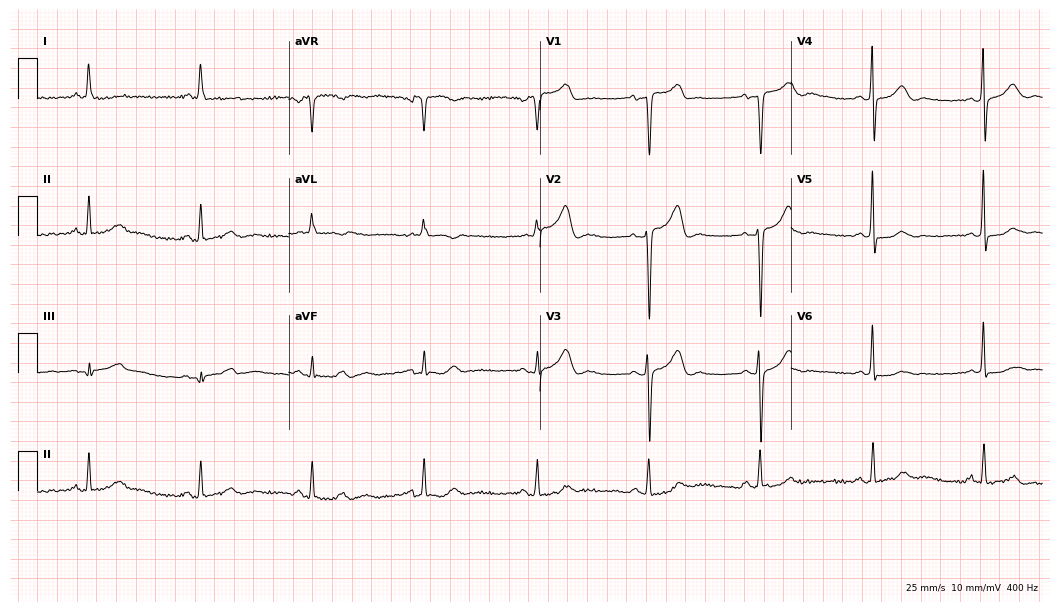
Standard 12-lead ECG recorded from a female patient, 59 years old (10.2-second recording at 400 Hz). Read as a normal ECG.